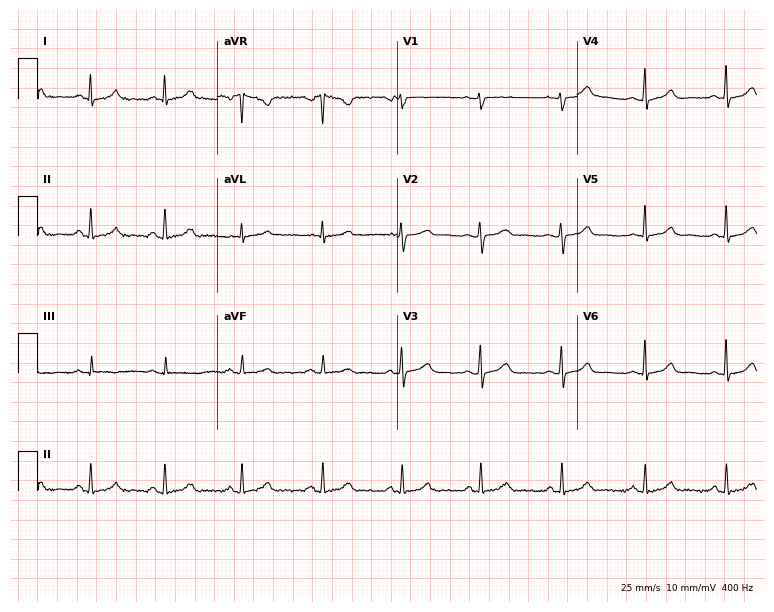
Standard 12-lead ECG recorded from a 44-year-old female patient (7.3-second recording at 400 Hz). None of these six findings is recorded: first-degree AV block, right bundle branch block, left bundle branch block, sinus bradycardia, atrial fibrillation, sinus tachycardia.